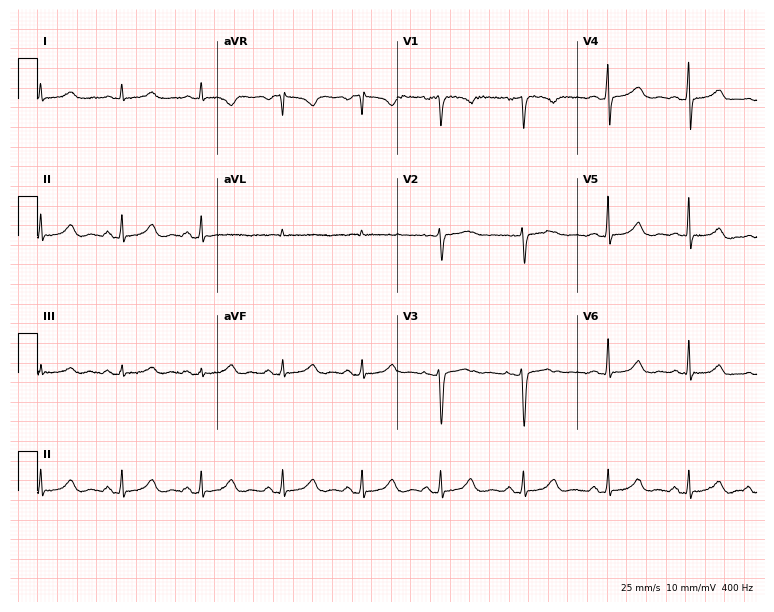
Standard 12-lead ECG recorded from a female patient, 36 years old. None of these six findings is recorded: first-degree AV block, right bundle branch block (RBBB), left bundle branch block (LBBB), sinus bradycardia, atrial fibrillation (AF), sinus tachycardia.